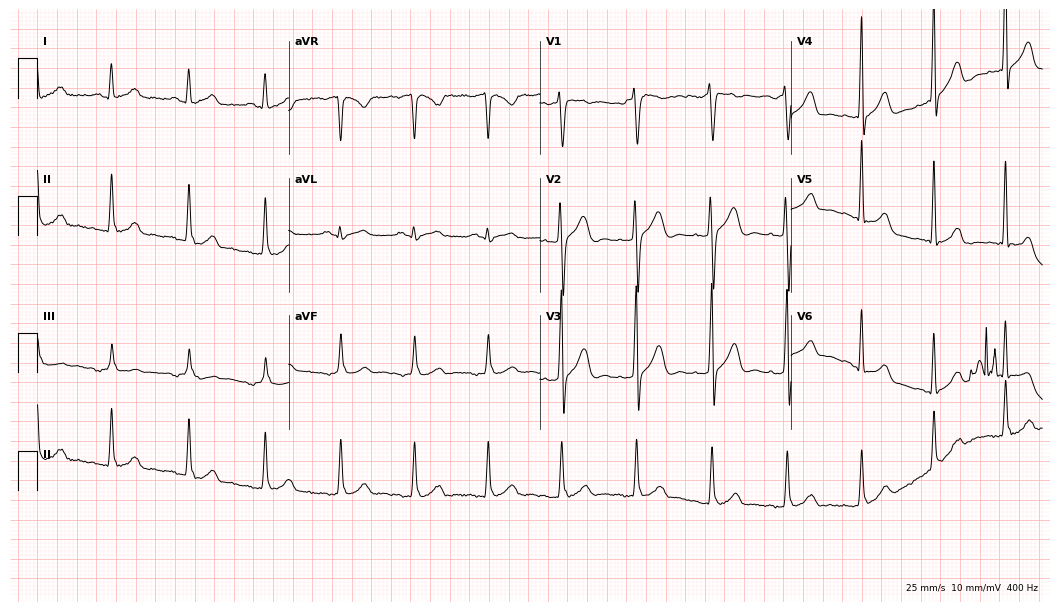
12-lead ECG from a man, 38 years old. Screened for six findings — first-degree AV block, right bundle branch block (RBBB), left bundle branch block (LBBB), sinus bradycardia, atrial fibrillation (AF), sinus tachycardia — none is recorded.